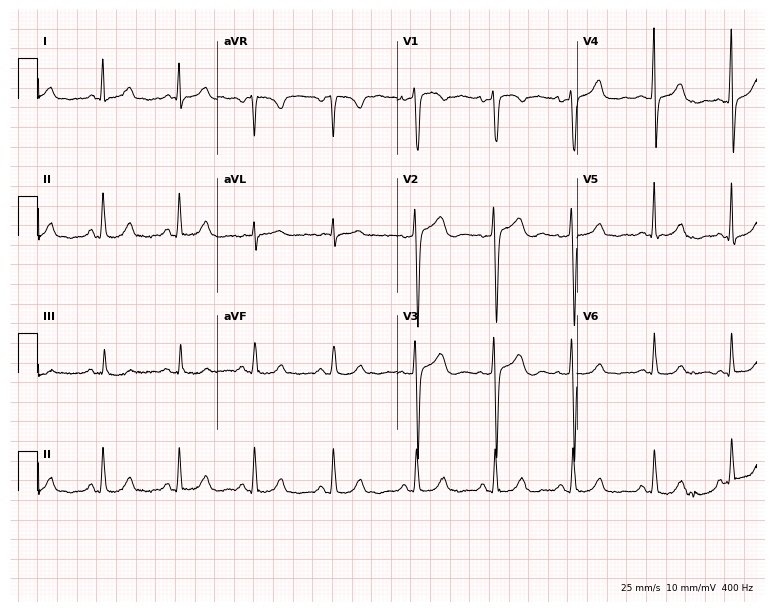
ECG — a 39-year-old female patient. Labelled as a normal ECG.